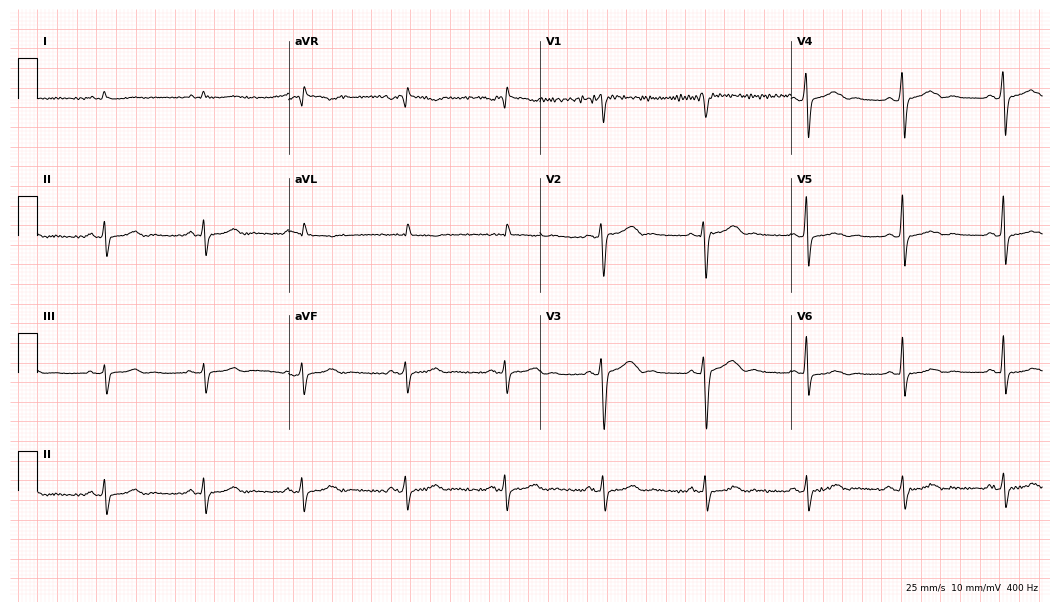
Electrocardiogram, a 48-year-old male patient. Of the six screened findings (first-degree AV block, right bundle branch block (RBBB), left bundle branch block (LBBB), sinus bradycardia, atrial fibrillation (AF), sinus tachycardia), none is recorded. Only these six findings were labelled.